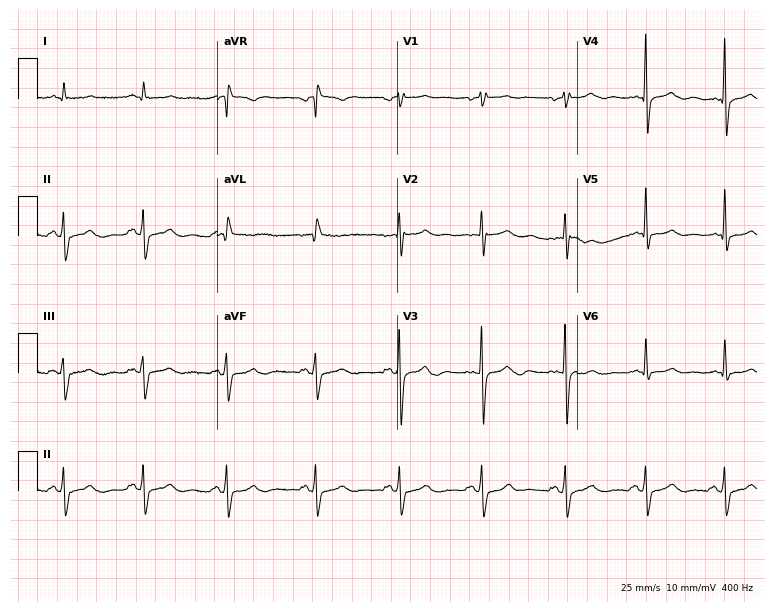
Standard 12-lead ECG recorded from a man, 35 years old (7.3-second recording at 400 Hz). None of these six findings is recorded: first-degree AV block, right bundle branch block, left bundle branch block, sinus bradycardia, atrial fibrillation, sinus tachycardia. Other findings, if any, are not listed.